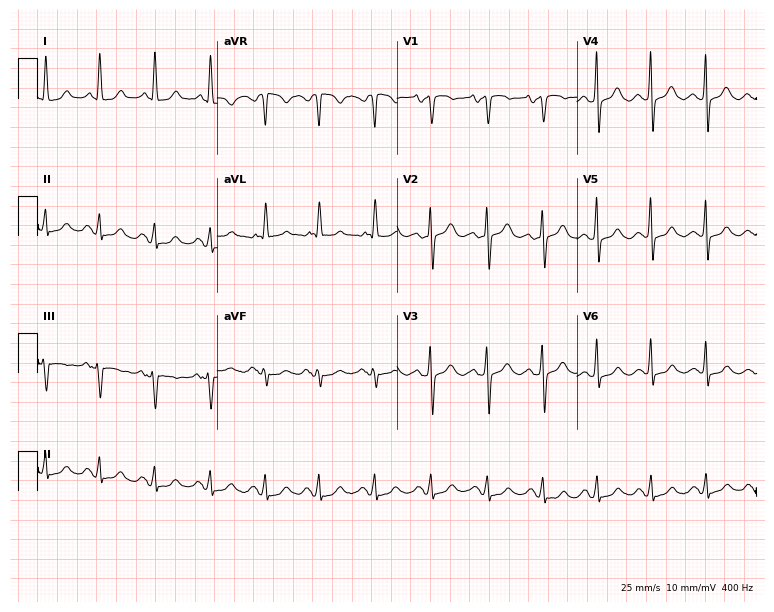
Electrocardiogram, an 80-year-old female. Interpretation includes sinus tachycardia (a sinus rate of 100 beats per minute or more).